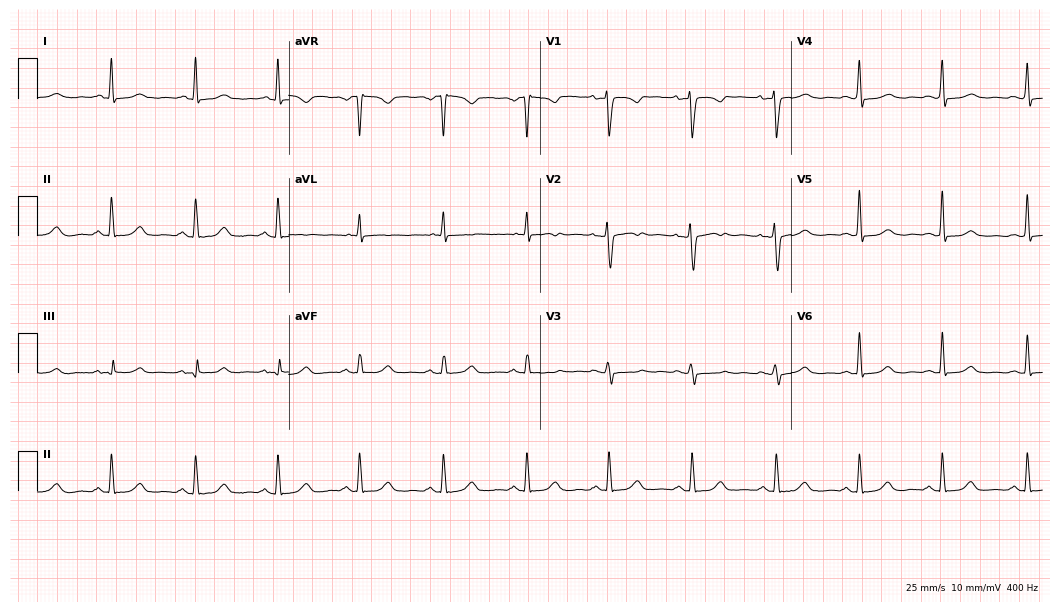
ECG (10.2-second recording at 400 Hz) — a 51-year-old female patient. Labelled as a normal ECG.